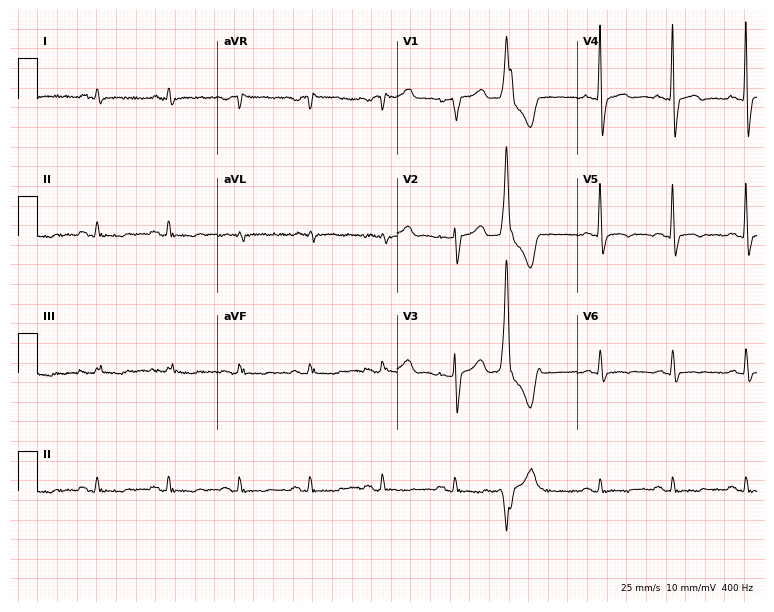
Electrocardiogram, a man, 59 years old. Of the six screened findings (first-degree AV block, right bundle branch block (RBBB), left bundle branch block (LBBB), sinus bradycardia, atrial fibrillation (AF), sinus tachycardia), none is recorded.